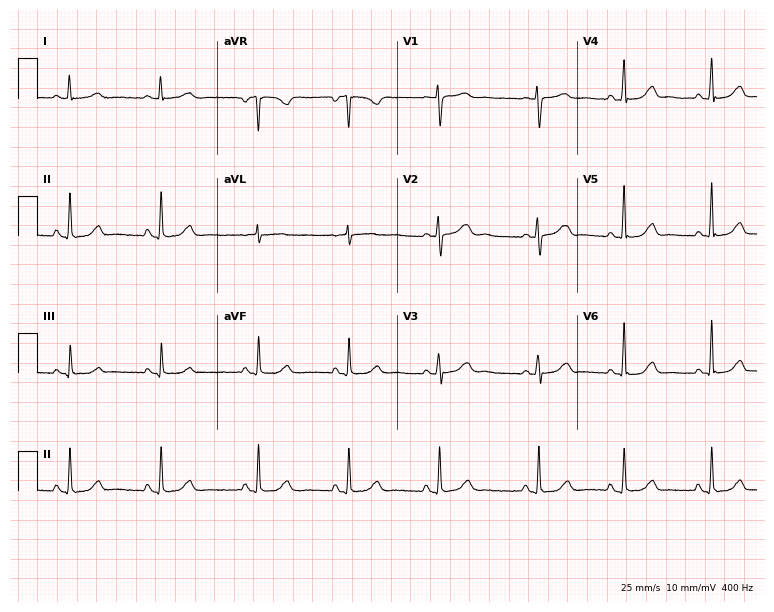
12-lead ECG from a female, 50 years old. Labelled as a normal ECG.